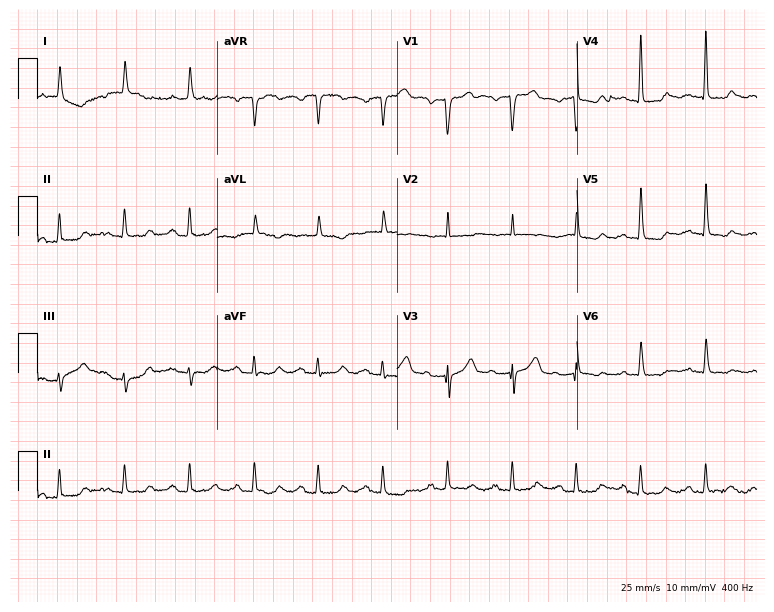
Resting 12-lead electrocardiogram (7.3-second recording at 400 Hz). Patient: a man, 85 years old. None of these six findings is recorded: first-degree AV block, right bundle branch block, left bundle branch block, sinus bradycardia, atrial fibrillation, sinus tachycardia.